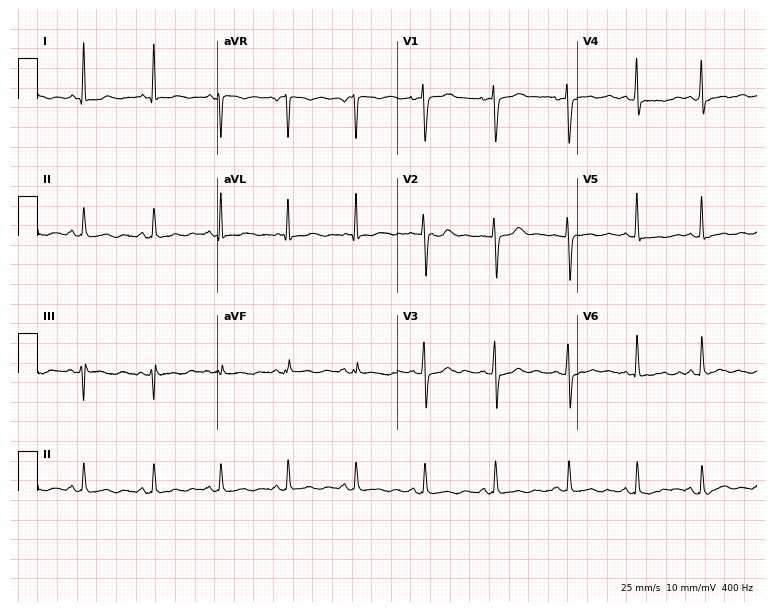
ECG — a female, 39 years old. Screened for six findings — first-degree AV block, right bundle branch block, left bundle branch block, sinus bradycardia, atrial fibrillation, sinus tachycardia — none is recorded. Other findings, if any, are not listed.